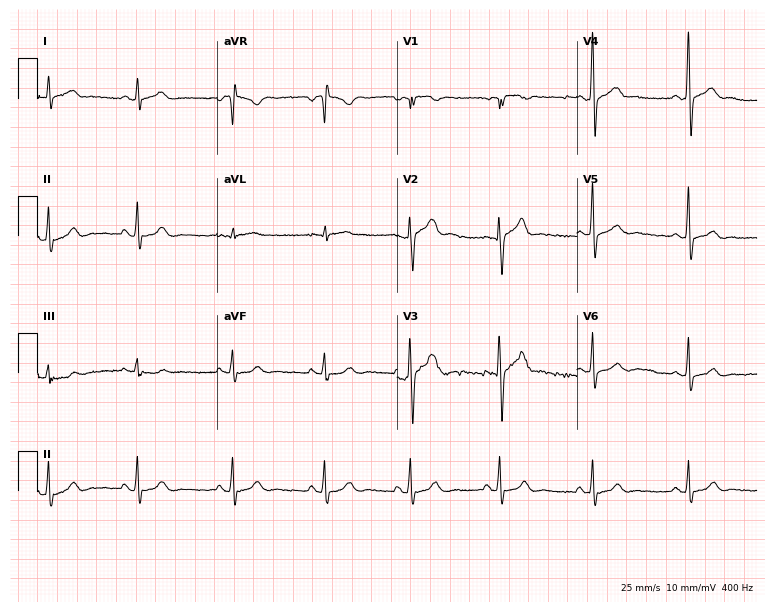
12-lead ECG from a male patient, 33 years old. Screened for six findings — first-degree AV block, right bundle branch block (RBBB), left bundle branch block (LBBB), sinus bradycardia, atrial fibrillation (AF), sinus tachycardia — none is recorded.